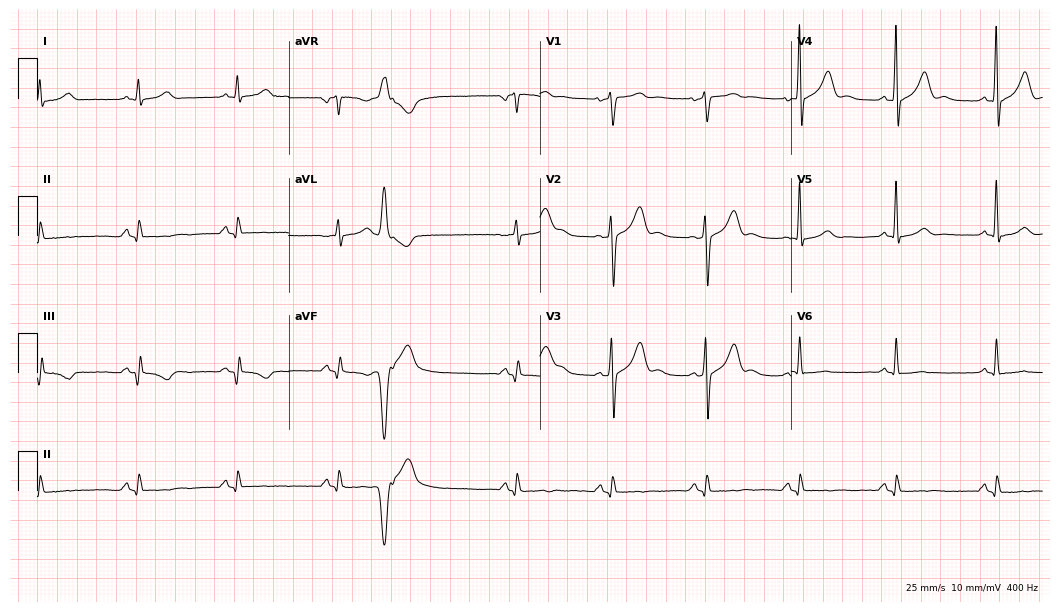
ECG (10.2-second recording at 400 Hz) — a man, 56 years old. Screened for six findings — first-degree AV block, right bundle branch block (RBBB), left bundle branch block (LBBB), sinus bradycardia, atrial fibrillation (AF), sinus tachycardia — none is recorded. Only these six findings were labelled.